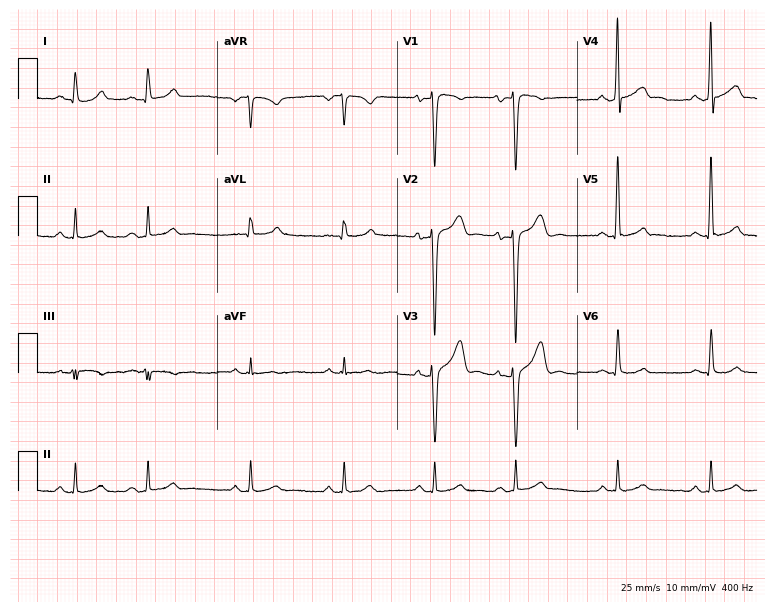
Electrocardiogram (7.3-second recording at 400 Hz), a 36-year-old male. Of the six screened findings (first-degree AV block, right bundle branch block (RBBB), left bundle branch block (LBBB), sinus bradycardia, atrial fibrillation (AF), sinus tachycardia), none is recorded. Other findings, if any, are not listed.